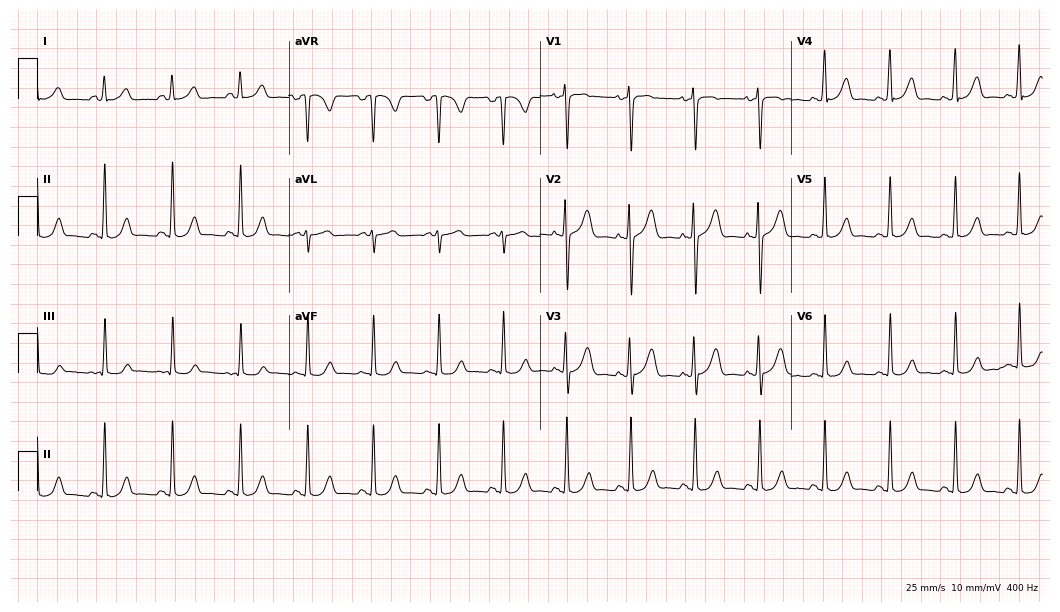
12-lead ECG from a 26-year-old woman. Labelled as a normal ECG.